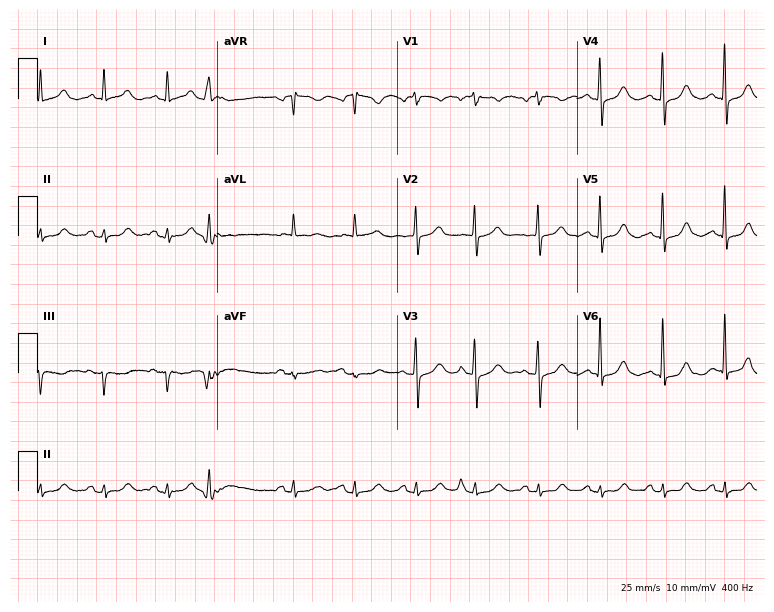
12-lead ECG from a 78-year-old woman (7.3-second recording at 400 Hz). Recorded interpretation: within normal limits.